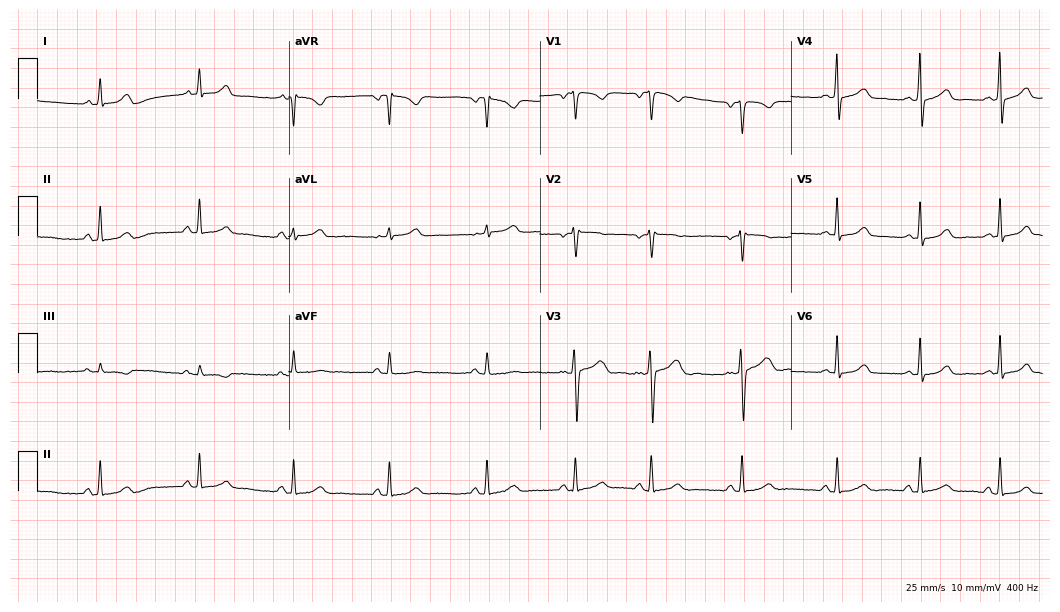
12-lead ECG from a 22-year-old female. Labelled as a normal ECG.